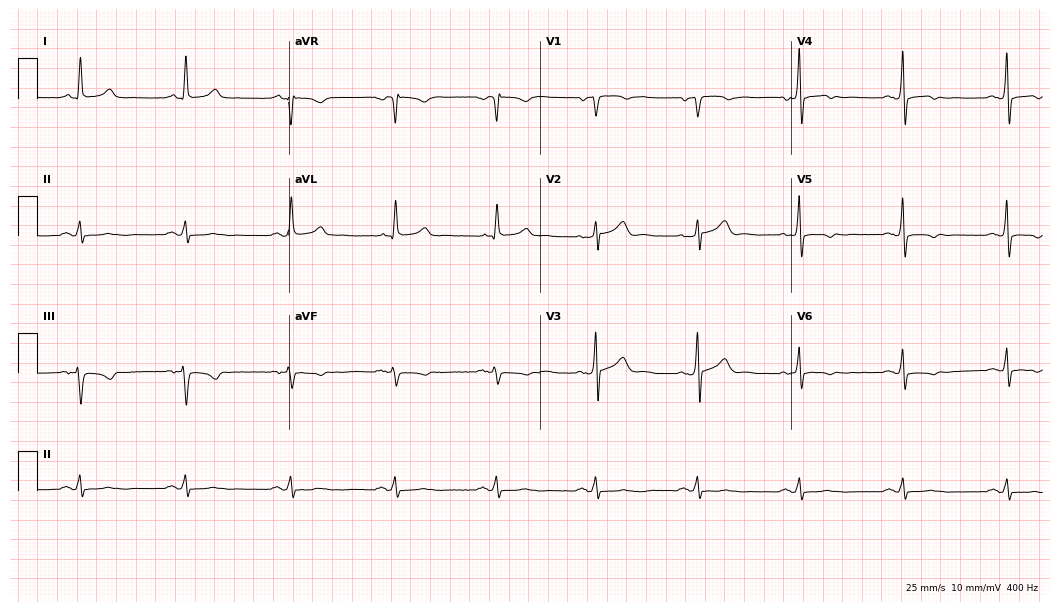
Electrocardiogram, a 66-year-old male patient. Of the six screened findings (first-degree AV block, right bundle branch block, left bundle branch block, sinus bradycardia, atrial fibrillation, sinus tachycardia), none is recorded. Only these six findings were labelled.